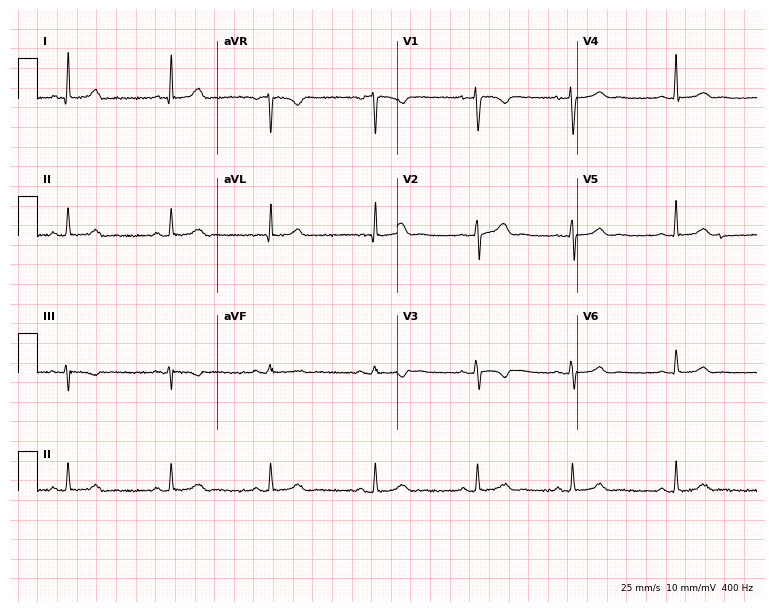
12-lead ECG from a female, 40 years old. No first-degree AV block, right bundle branch block, left bundle branch block, sinus bradycardia, atrial fibrillation or sinus tachycardia recorded for this tracing.